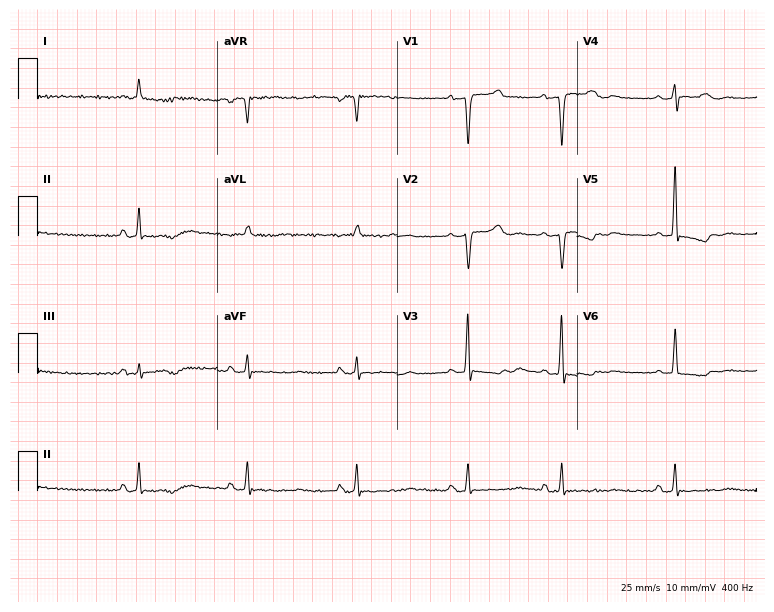
12-lead ECG from a female, 76 years old. No first-degree AV block, right bundle branch block, left bundle branch block, sinus bradycardia, atrial fibrillation or sinus tachycardia recorded for this tracing.